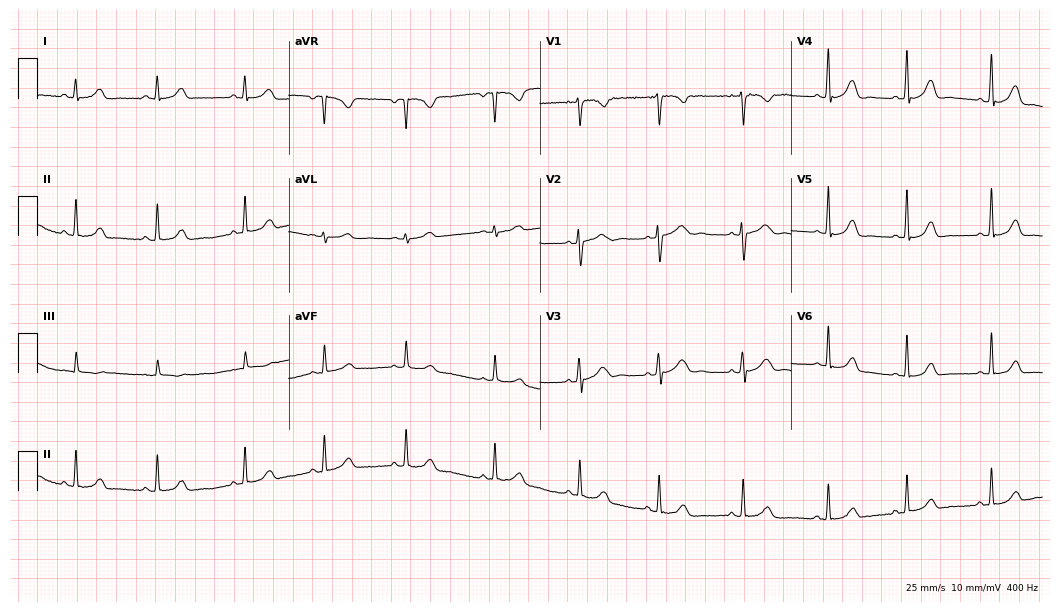
Resting 12-lead electrocardiogram (10.2-second recording at 400 Hz). Patient: a female, 33 years old. Read as a normal ECG.